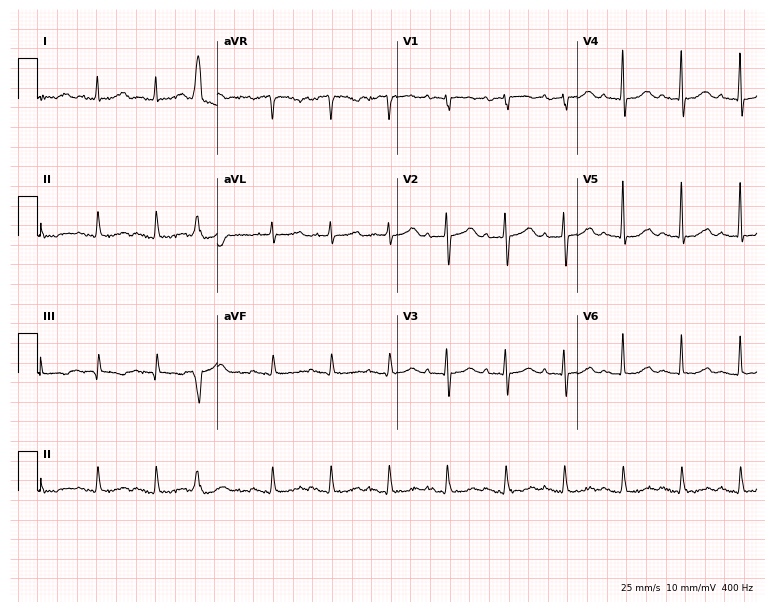
ECG — an 85-year-old female. Findings include sinus tachycardia (a sinus rate of 100 beats per minute or more).